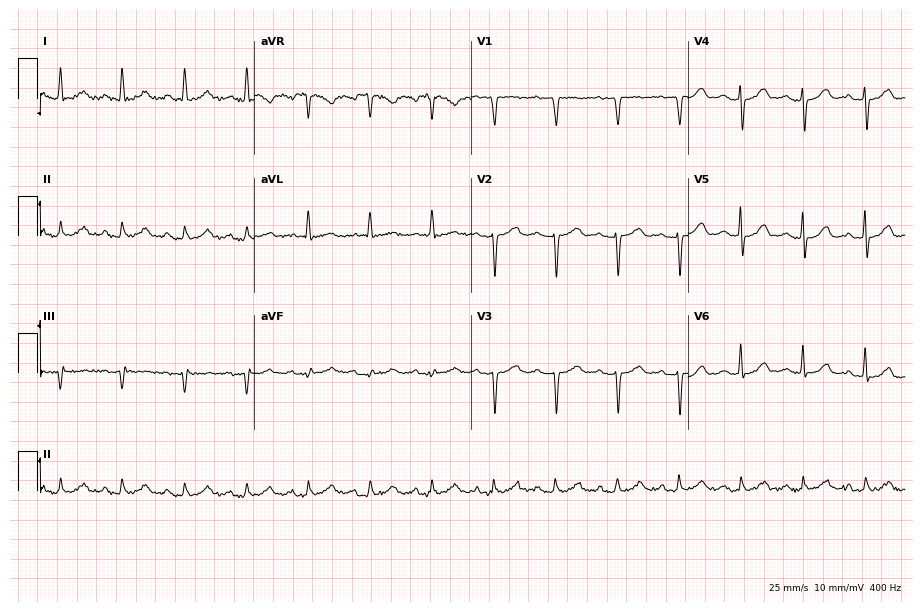
12-lead ECG from a 73-year-old female (8.8-second recording at 400 Hz). No first-degree AV block, right bundle branch block (RBBB), left bundle branch block (LBBB), sinus bradycardia, atrial fibrillation (AF) or sinus tachycardia recorded for this tracing. Other findings, if any, are not listed.